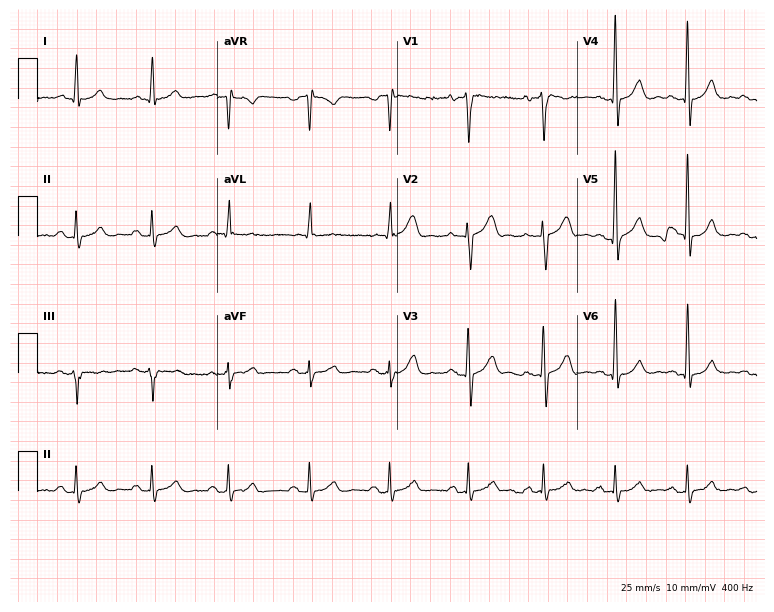
12-lead ECG (7.3-second recording at 400 Hz) from a man, 49 years old. Labelled as a normal ECG.